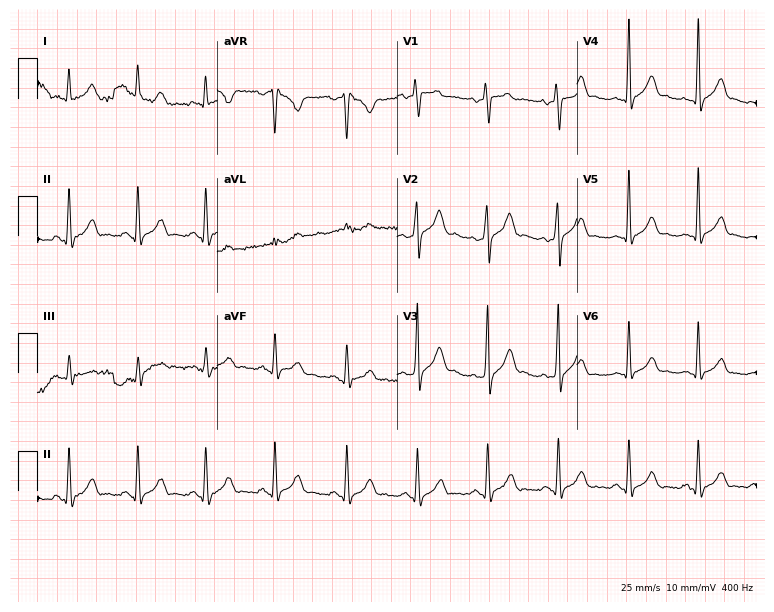
Standard 12-lead ECG recorded from a 46-year-old male patient (7.3-second recording at 400 Hz). None of these six findings is recorded: first-degree AV block, right bundle branch block, left bundle branch block, sinus bradycardia, atrial fibrillation, sinus tachycardia. Only these six findings were labelled.